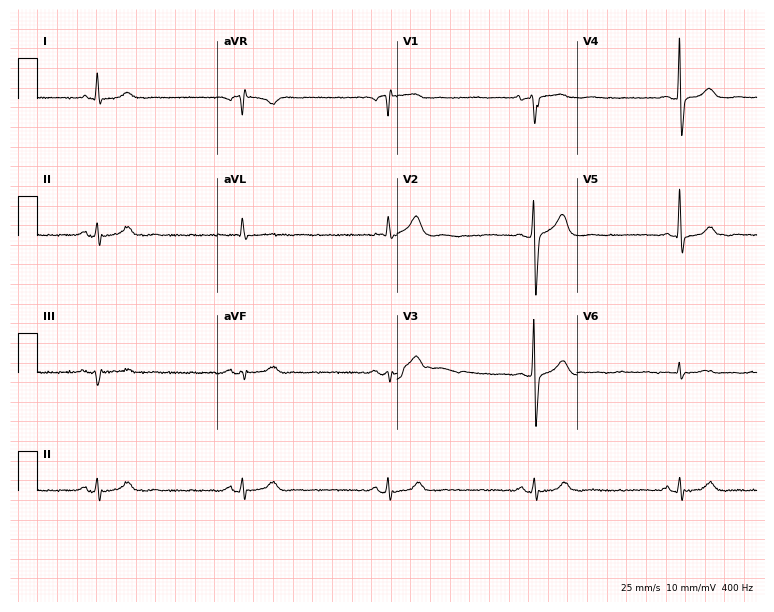
12-lead ECG (7.3-second recording at 400 Hz) from a male patient, 70 years old. Findings include sinus bradycardia (a sinus rate of 50 beats per minute or less).